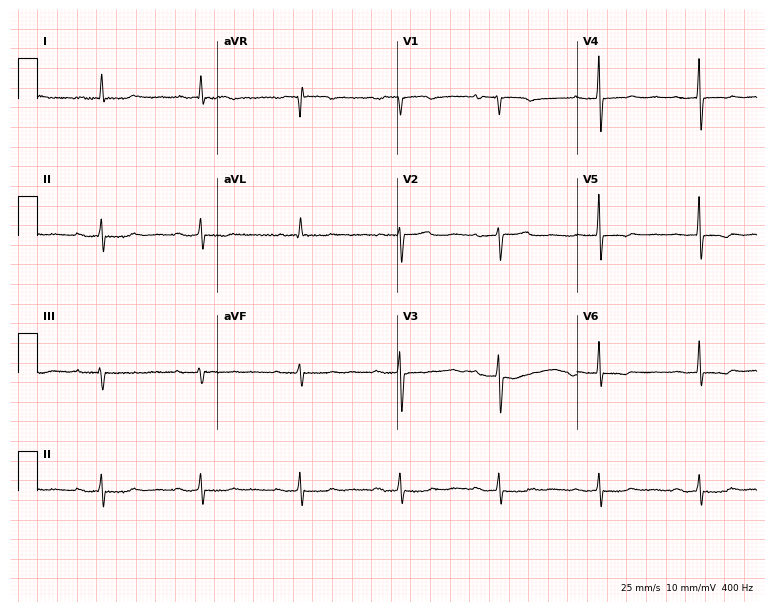
Electrocardiogram, a 74-year-old female patient. Interpretation includes first-degree AV block.